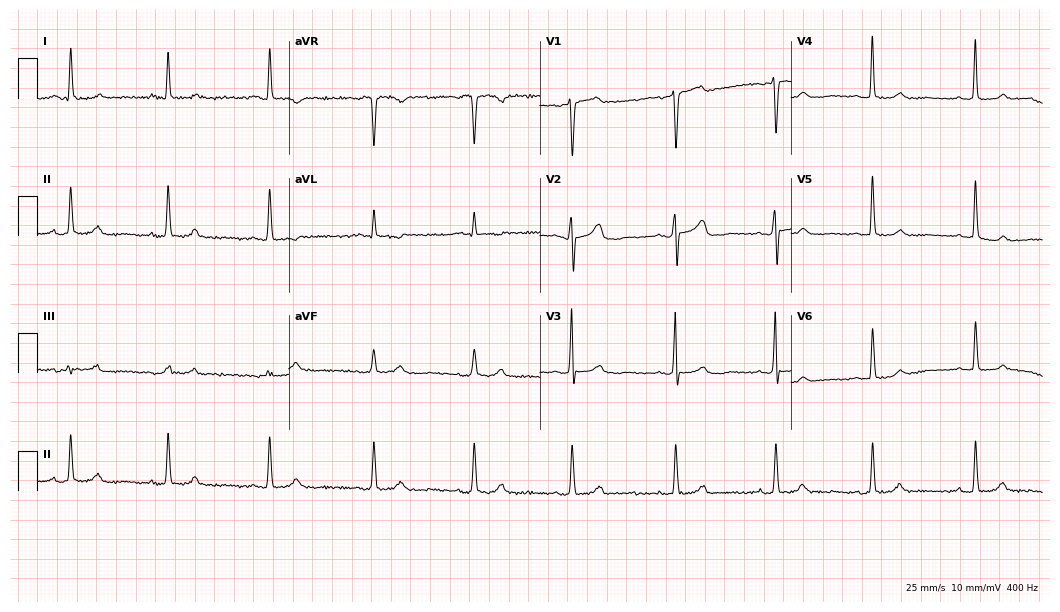
Standard 12-lead ECG recorded from a 60-year-old woman. None of these six findings is recorded: first-degree AV block, right bundle branch block, left bundle branch block, sinus bradycardia, atrial fibrillation, sinus tachycardia. Findings outside these six are not listed.